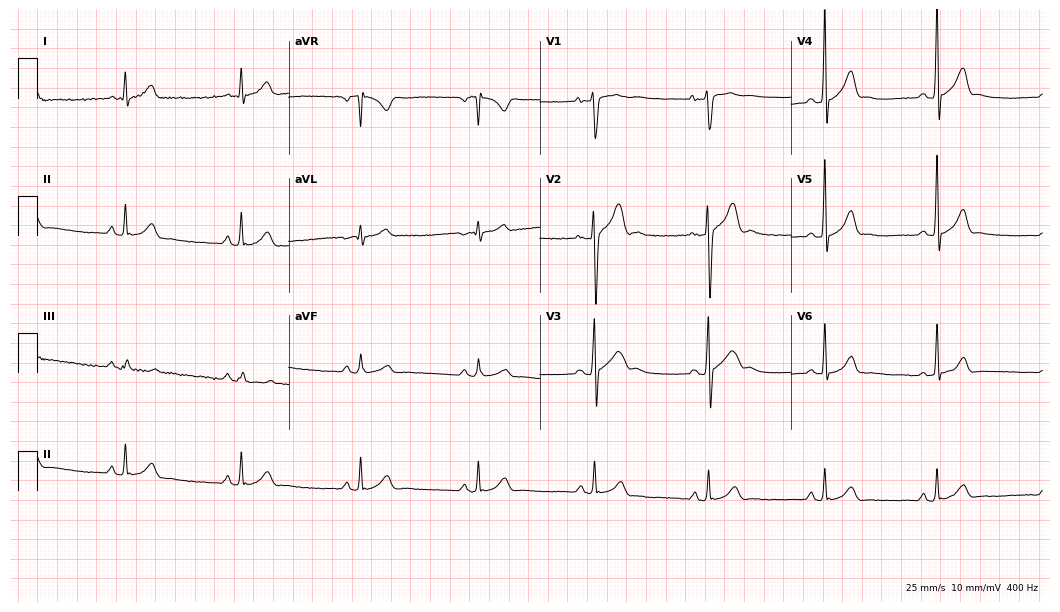
Resting 12-lead electrocardiogram (10.2-second recording at 400 Hz). Patient: a male, 17 years old. Read as a normal ECG.